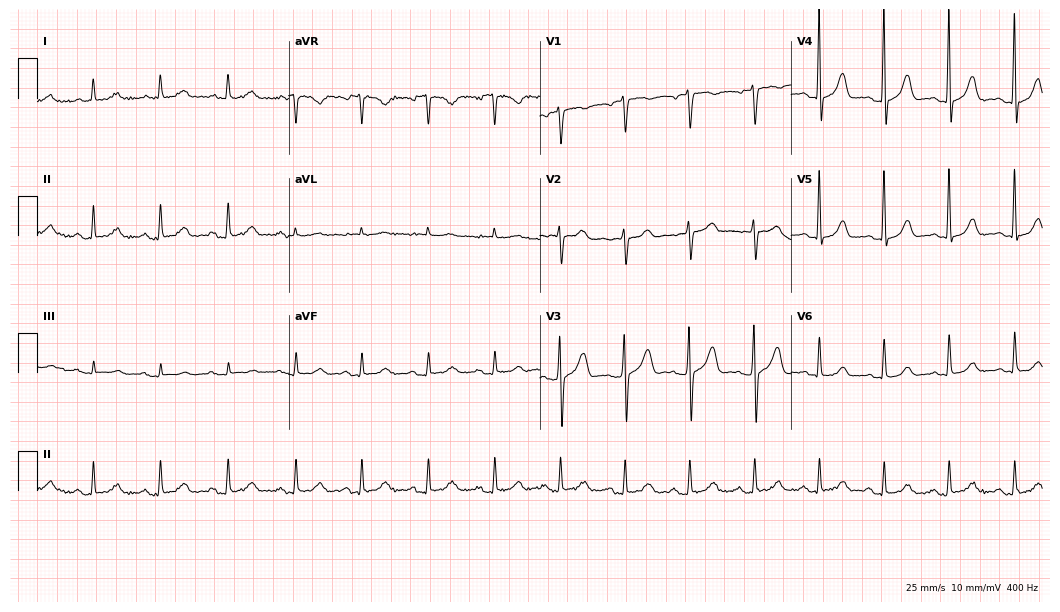
12-lead ECG from an 84-year-old woman (10.2-second recording at 400 Hz). No first-degree AV block, right bundle branch block, left bundle branch block, sinus bradycardia, atrial fibrillation or sinus tachycardia recorded for this tracing. Only these six findings were labelled.